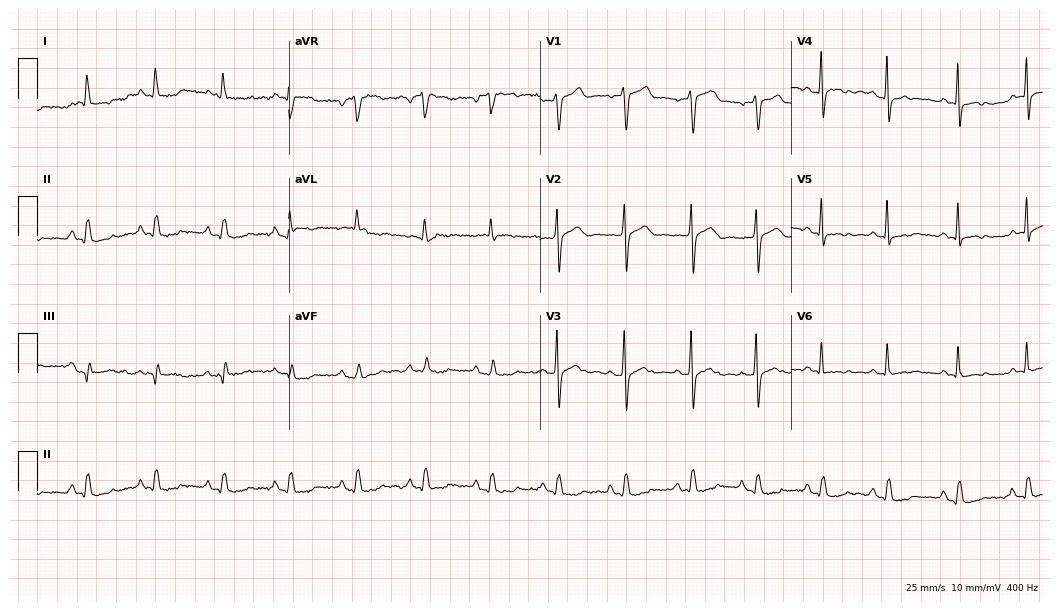
ECG (10.2-second recording at 400 Hz) — a woman, 57 years old. Screened for six findings — first-degree AV block, right bundle branch block (RBBB), left bundle branch block (LBBB), sinus bradycardia, atrial fibrillation (AF), sinus tachycardia — none is recorded.